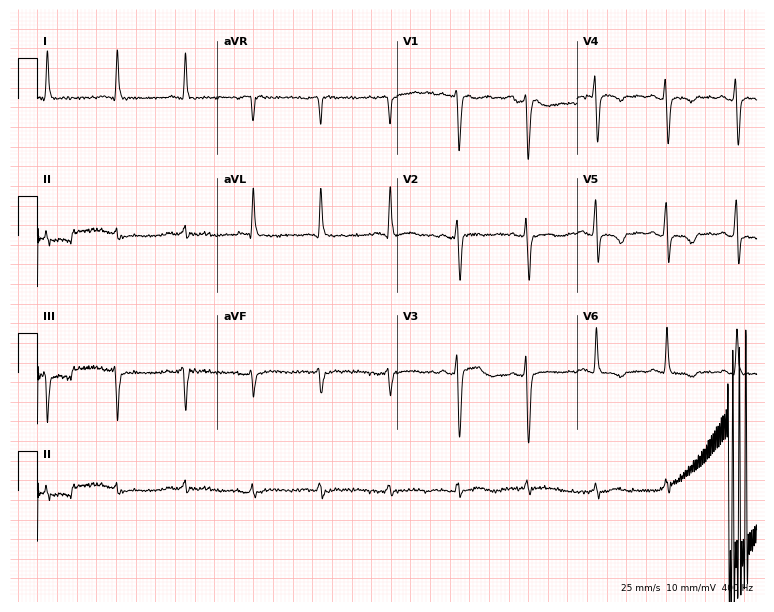
12-lead ECG from a woman, 33 years old. No first-degree AV block, right bundle branch block (RBBB), left bundle branch block (LBBB), sinus bradycardia, atrial fibrillation (AF) or sinus tachycardia recorded for this tracing. Other findings, if any, are not listed.